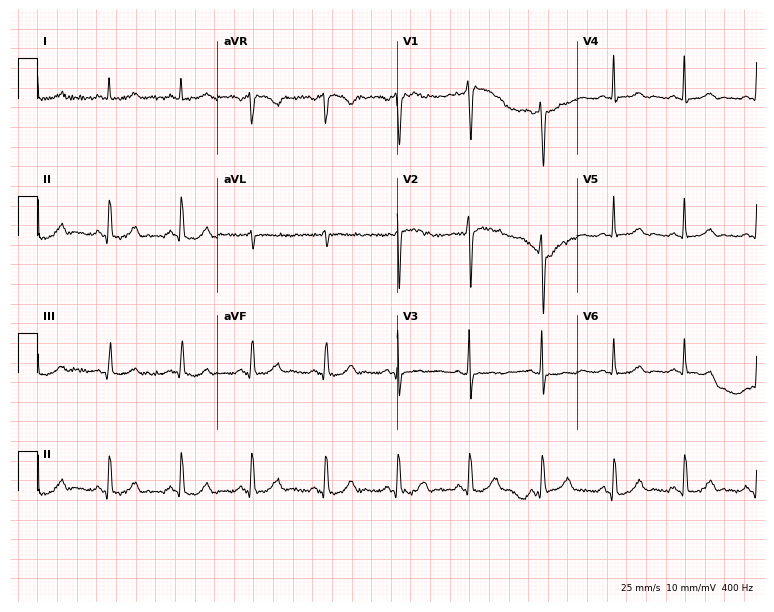
ECG — a 44-year-old woman. Screened for six findings — first-degree AV block, right bundle branch block (RBBB), left bundle branch block (LBBB), sinus bradycardia, atrial fibrillation (AF), sinus tachycardia — none is recorded.